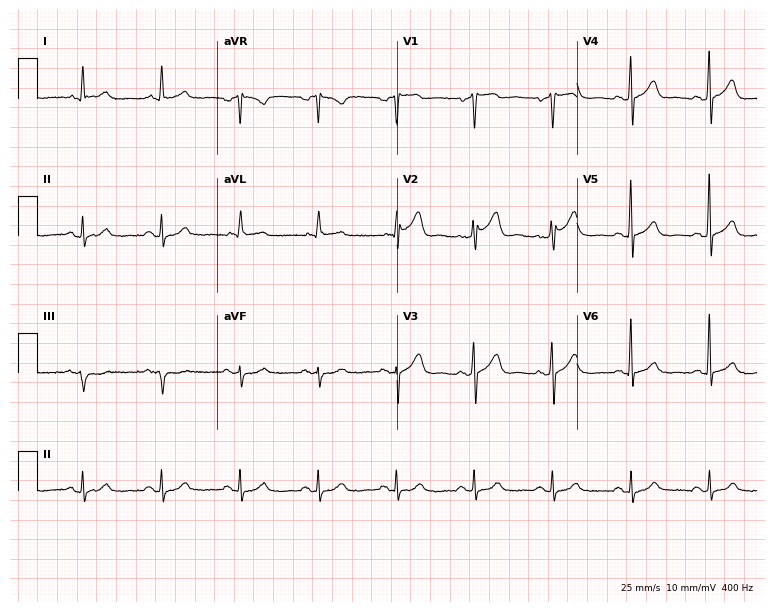
12-lead ECG from a 61-year-old male. Labelled as a normal ECG.